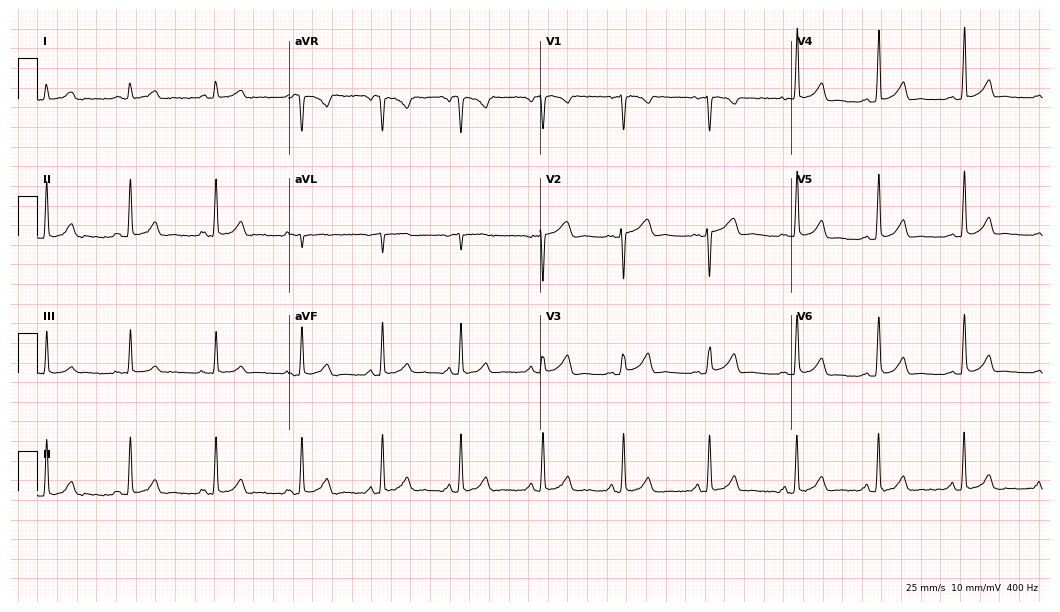
12-lead ECG from a 23-year-old woman (10.2-second recording at 400 Hz). Recorded interpretation: within normal limits.